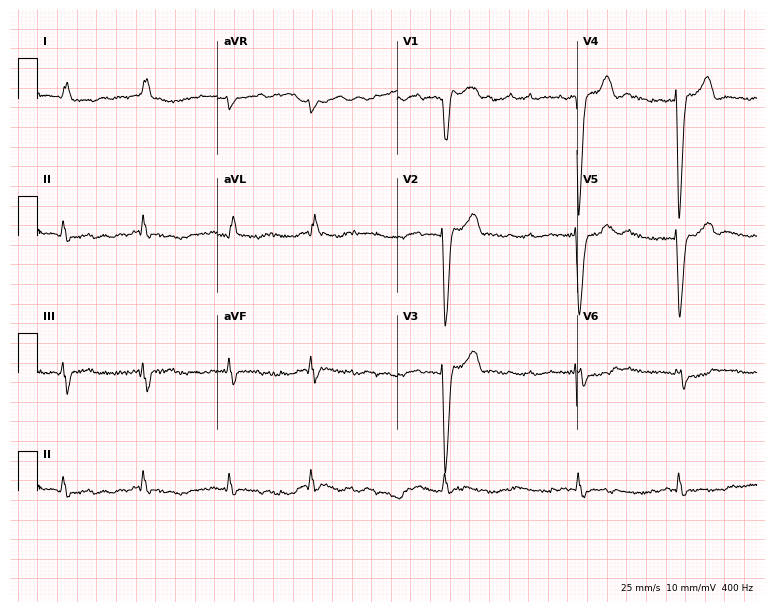
12-lead ECG from a 79-year-old male patient. Shows left bundle branch block, atrial fibrillation.